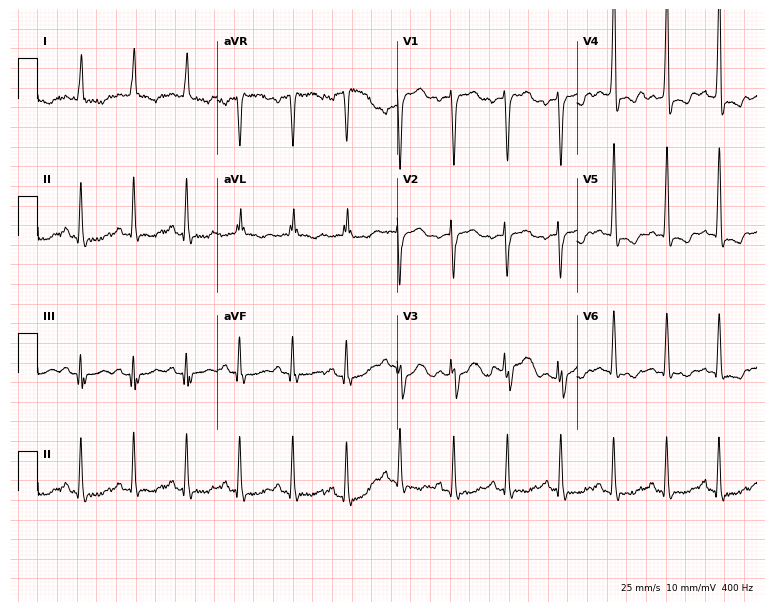
ECG (7.3-second recording at 400 Hz) — a male patient, 63 years old. Findings include sinus tachycardia (a sinus rate of 100 beats per minute or more).